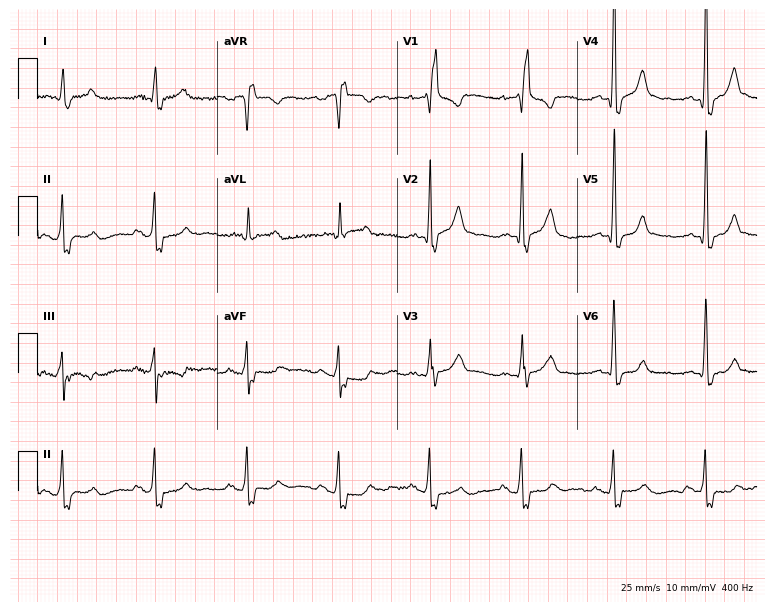
12-lead ECG from a male, 54 years old. Findings include right bundle branch block.